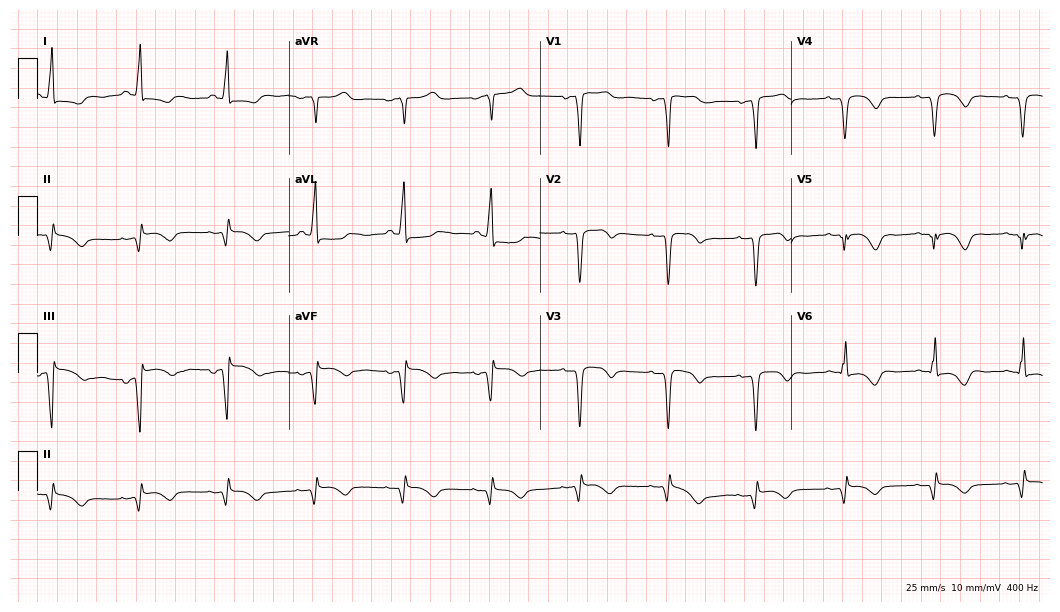
Electrocardiogram, an 84-year-old female. Overall reading on record: normal ECG.